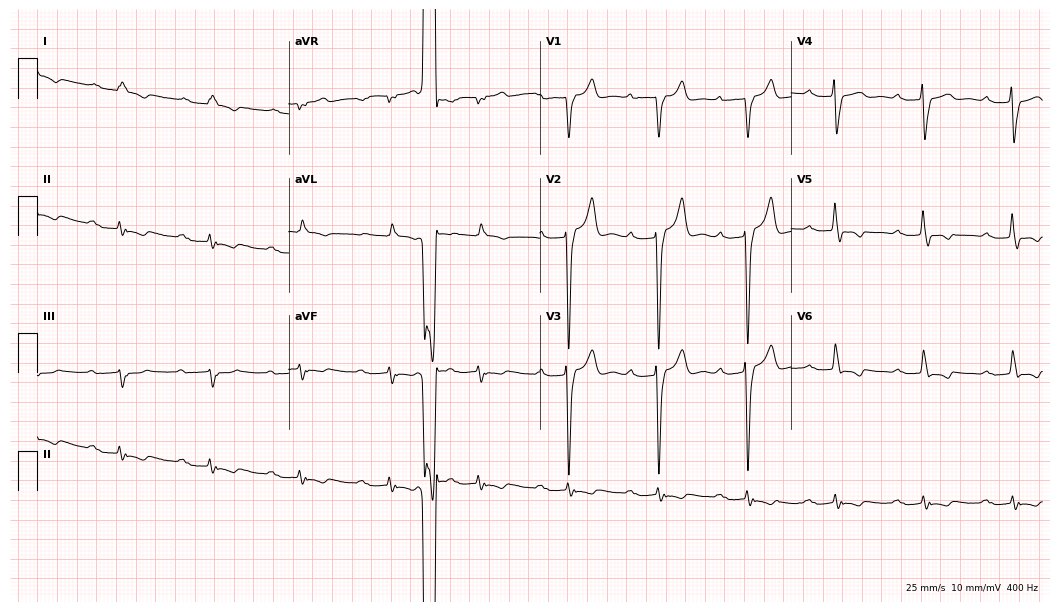
ECG (10.2-second recording at 400 Hz) — a 42-year-old male patient. Findings include first-degree AV block.